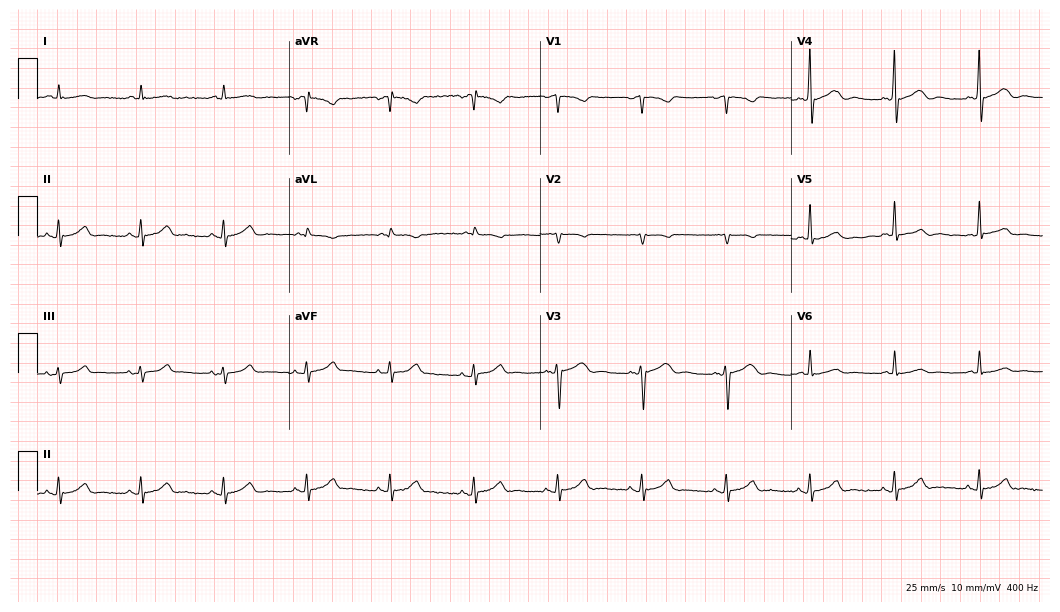
Standard 12-lead ECG recorded from a 73-year-old man (10.2-second recording at 400 Hz). Read as a normal ECG.